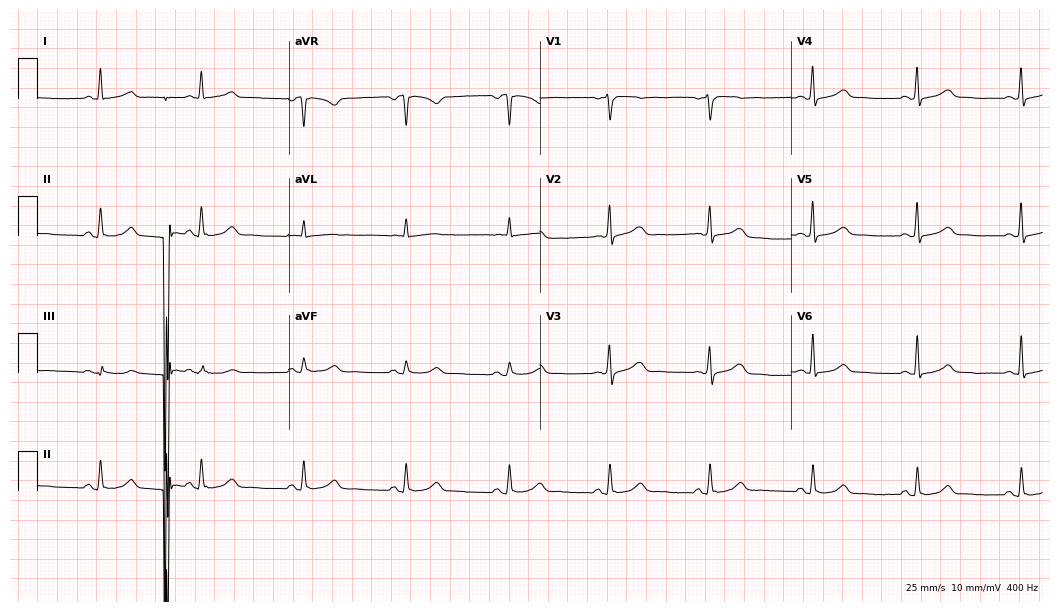
Standard 12-lead ECG recorded from a female, 59 years old (10.2-second recording at 400 Hz). Read as a normal ECG.